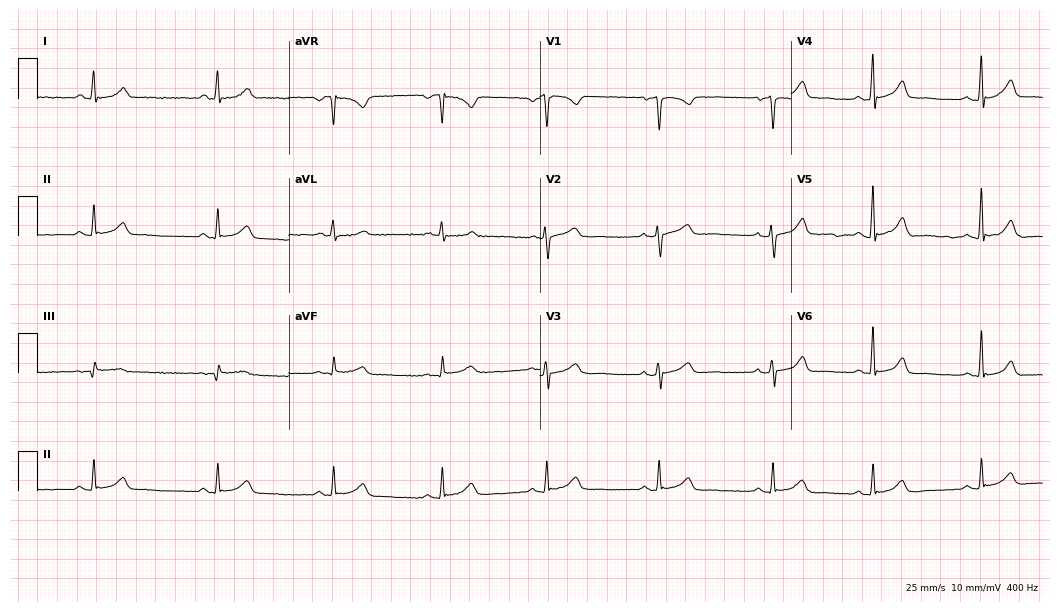
12-lead ECG from a female, 47 years old (10.2-second recording at 400 Hz). Recorded interpretation: within normal limits.